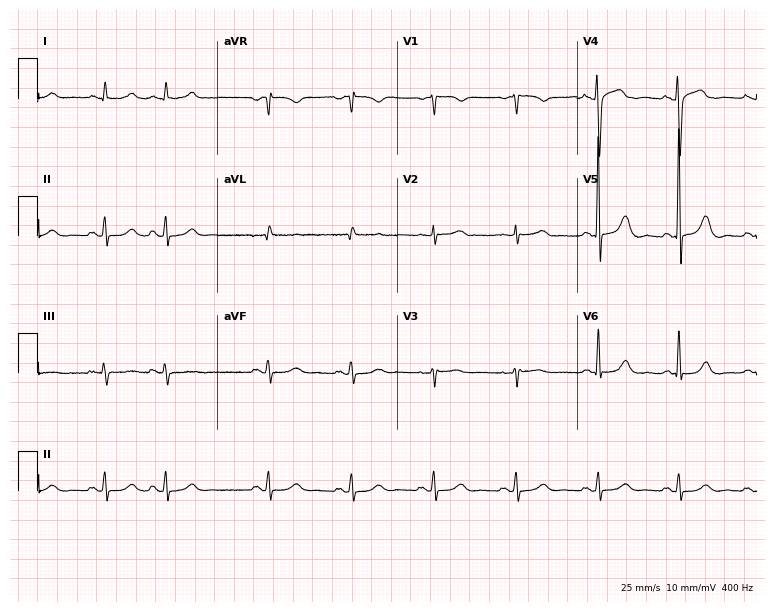
12-lead ECG from a 64-year-old woman (7.3-second recording at 400 Hz). No first-degree AV block, right bundle branch block (RBBB), left bundle branch block (LBBB), sinus bradycardia, atrial fibrillation (AF) or sinus tachycardia recorded for this tracing.